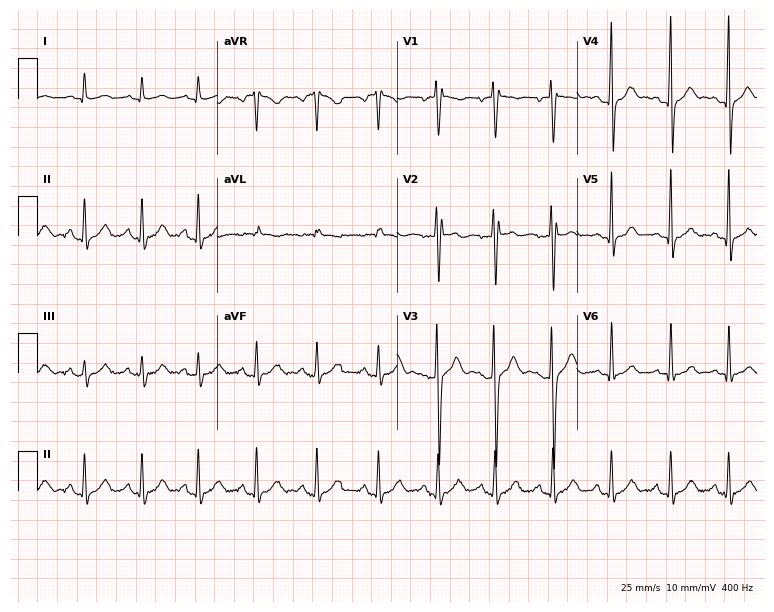
Resting 12-lead electrocardiogram (7.3-second recording at 400 Hz). Patient: a male, 17 years old. Read as a normal ECG.